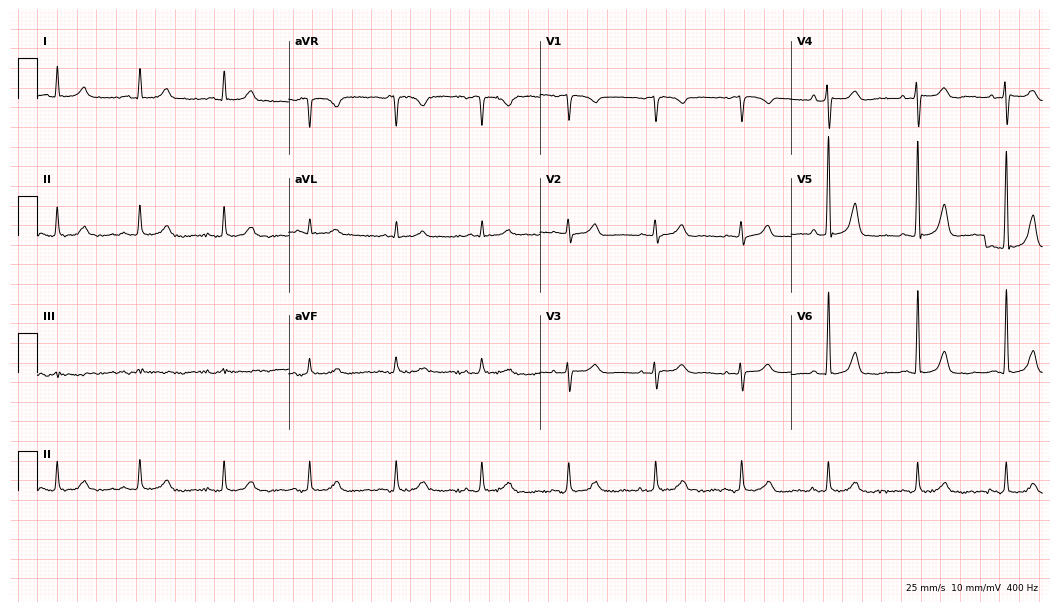
Standard 12-lead ECG recorded from an 81-year-old female patient (10.2-second recording at 400 Hz). None of these six findings is recorded: first-degree AV block, right bundle branch block, left bundle branch block, sinus bradycardia, atrial fibrillation, sinus tachycardia.